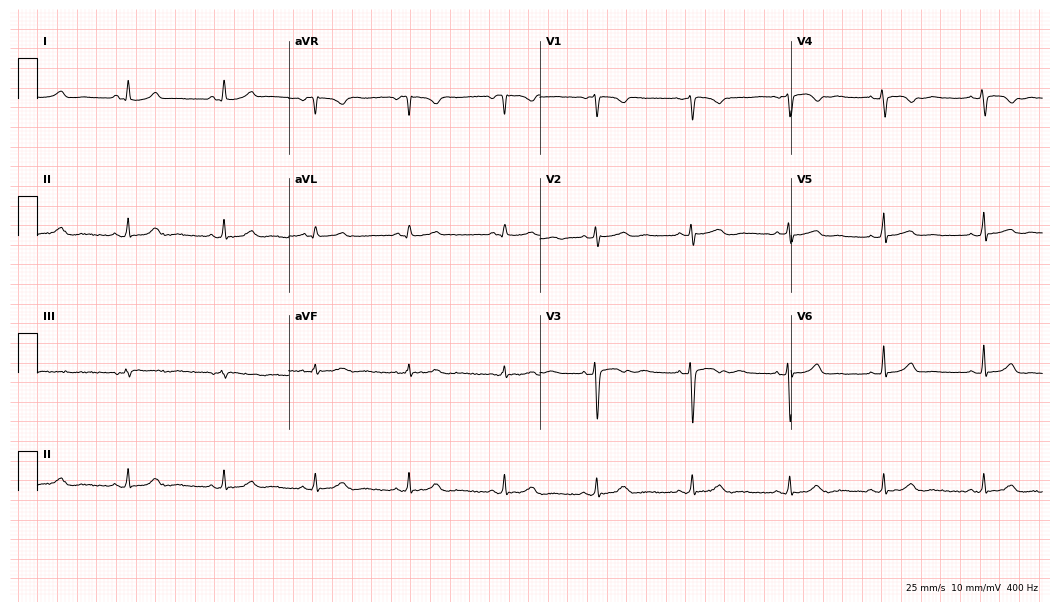
Standard 12-lead ECG recorded from a 24-year-old female patient. Read as a normal ECG.